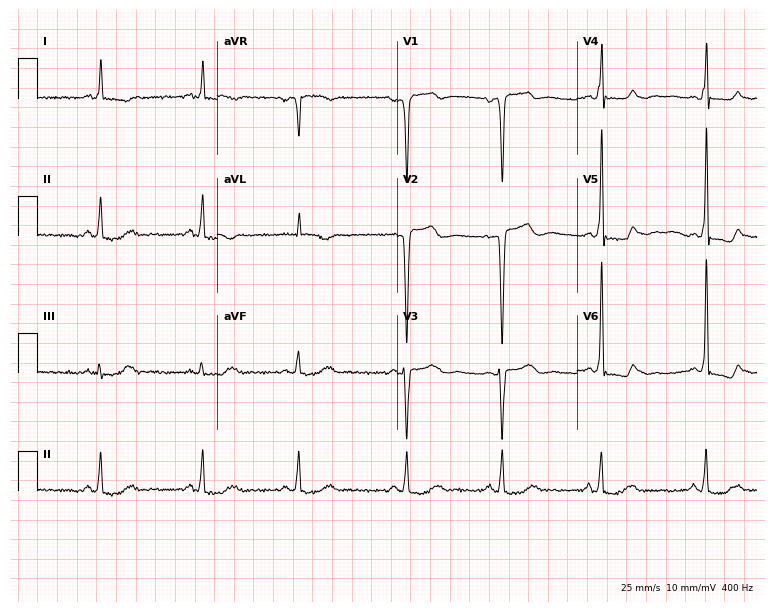
12-lead ECG (7.3-second recording at 400 Hz) from an 83-year-old woman. Screened for six findings — first-degree AV block, right bundle branch block, left bundle branch block, sinus bradycardia, atrial fibrillation, sinus tachycardia — none is recorded.